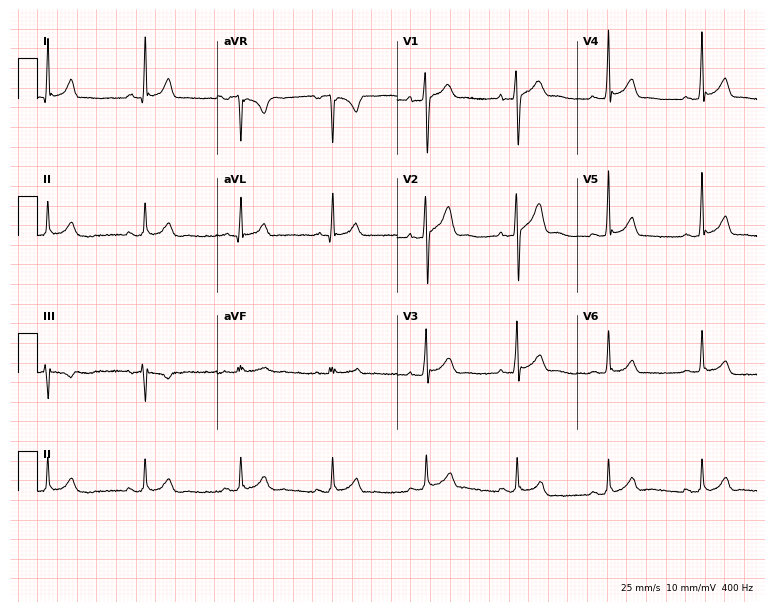
Resting 12-lead electrocardiogram. Patient: a male, 24 years old. Read as a normal ECG.